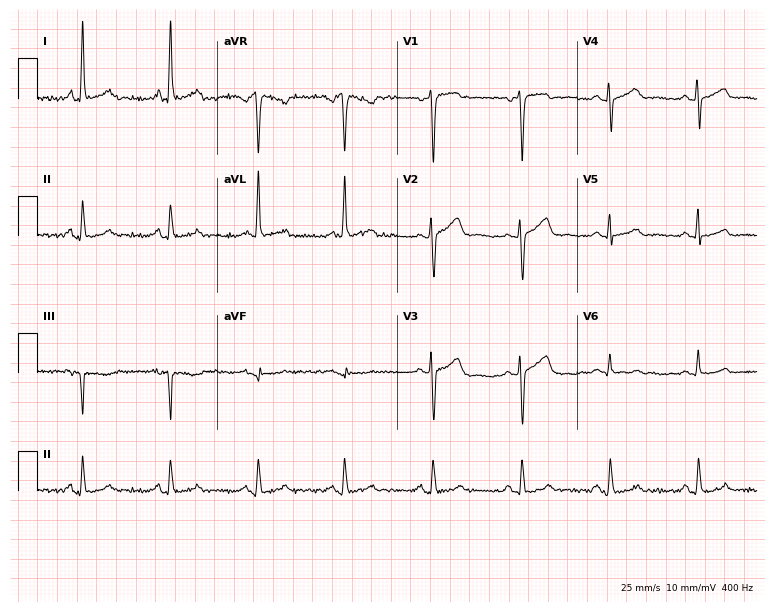
12-lead ECG (7.3-second recording at 400 Hz) from a female patient, 53 years old. Screened for six findings — first-degree AV block, right bundle branch block, left bundle branch block, sinus bradycardia, atrial fibrillation, sinus tachycardia — none is recorded.